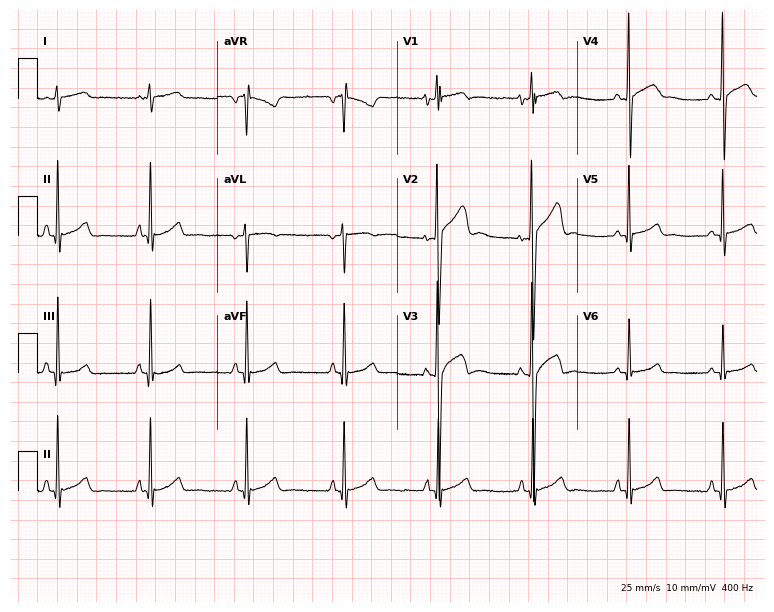
Resting 12-lead electrocardiogram. Patient: a male, 17 years old. Read as a normal ECG.